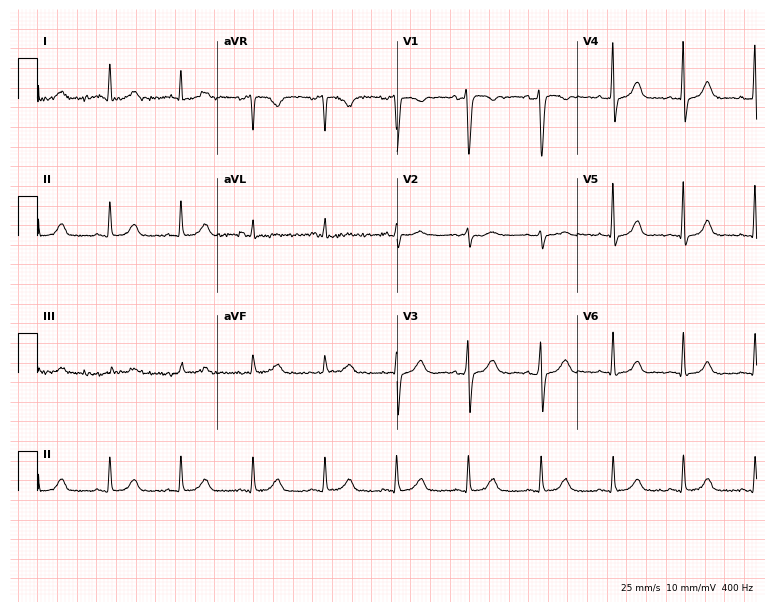
Standard 12-lead ECG recorded from a female, 41 years old (7.3-second recording at 400 Hz). Read as a normal ECG.